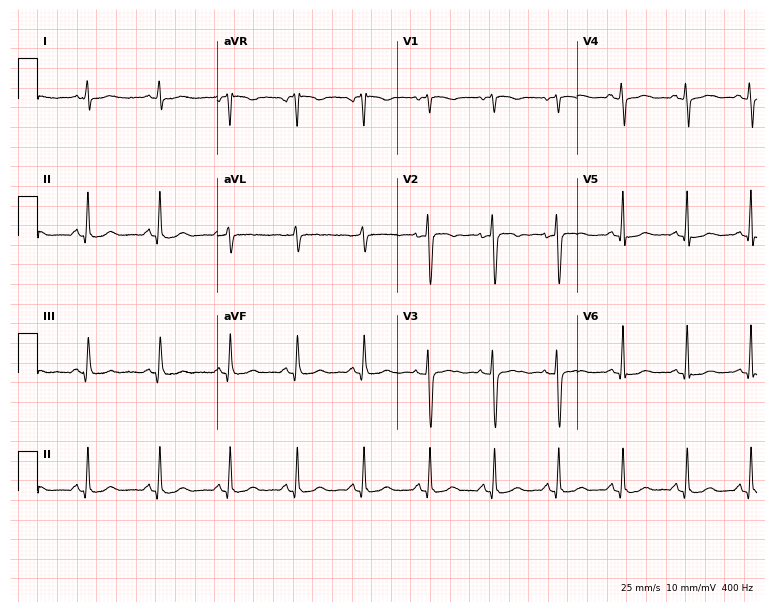
12-lead ECG (7.3-second recording at 400 Hz) from a 48-year-old female patient. Screened for six findings — first-degree AV block, right bundle branch block (RBBB), left bundle branch block (LBBB), sinus bradycardia, atrial fibrillation (AF), sinus tachycardia — none is recorded.